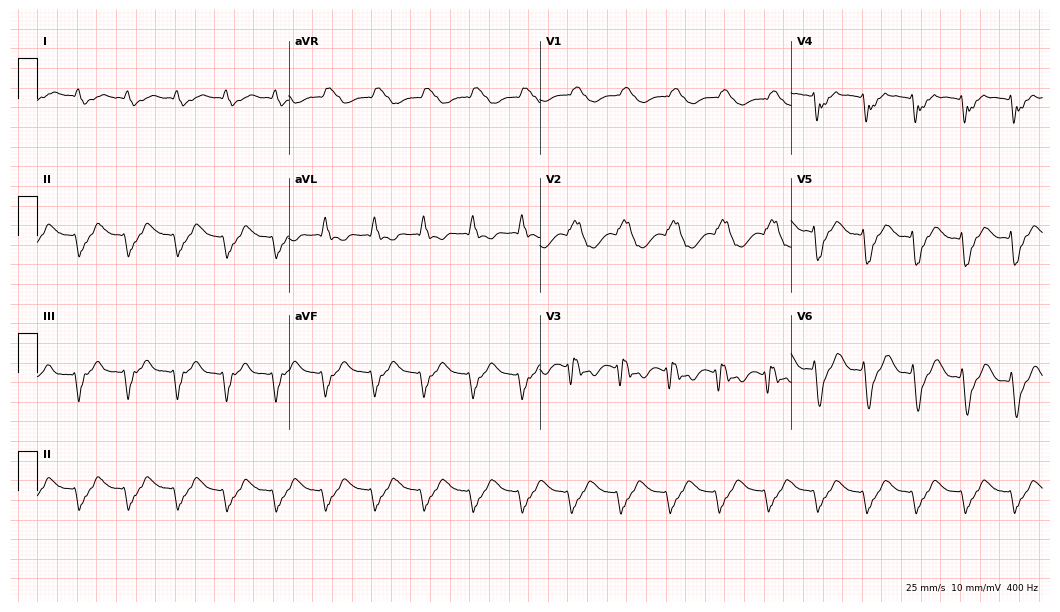
Electrocardiogram, a 71-year-old male patient. Of the six screened findings (first-degree AV block, right bundle branch block, left bundle branch block, sinus bradycardia, atrial fibrillation, sinus tachycardia), none is recorded.